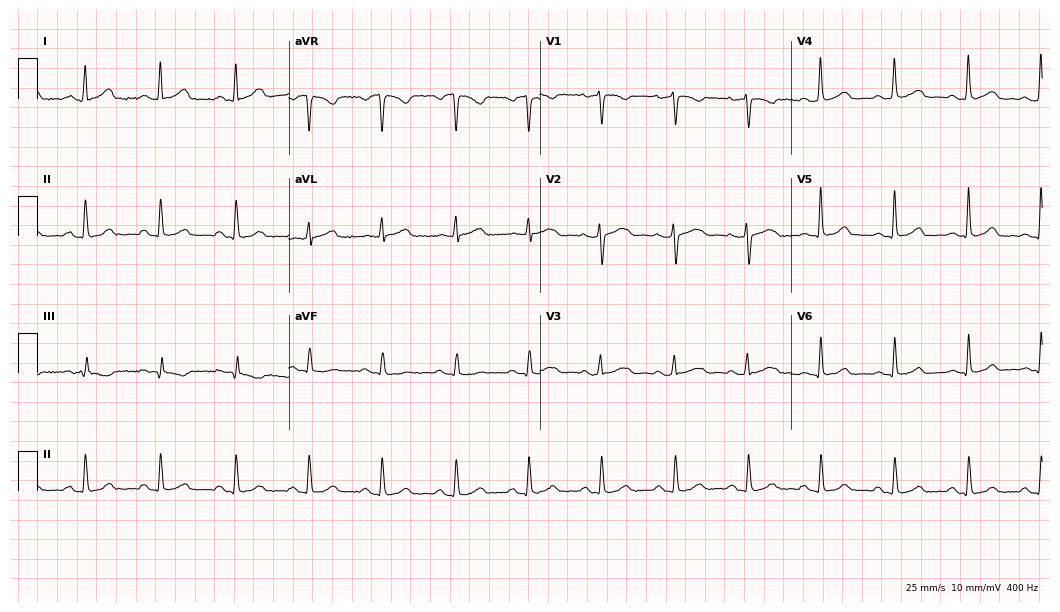
12-lead ECG from a female patient, 34 years old. Screened for six findings — first-degree AV block, right bundle branch block, left bundle branch block, sinus bradycardia, atrial fibrillation, sinus tachycardia — none is recorded.